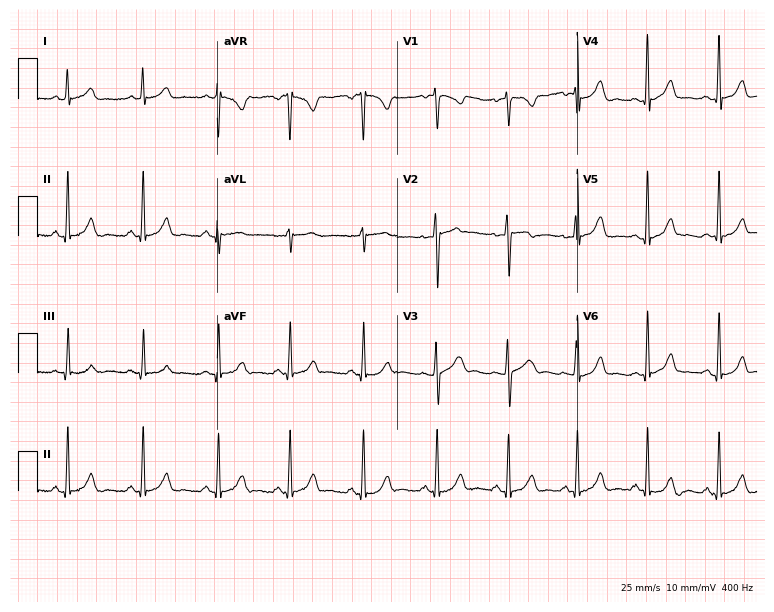
Electrocardiogram (7.3-second recording at 400 Hz), a female patient, 26 years old. Overall reading on record: normal ECG.